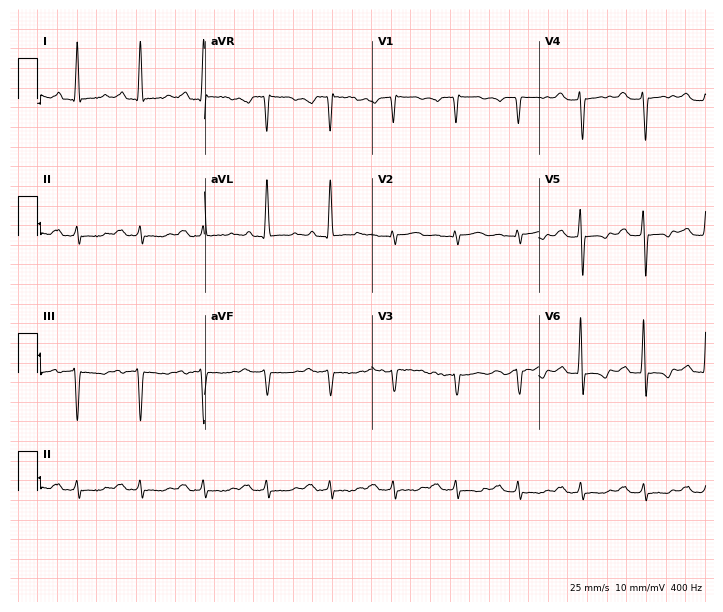
Electrocardiogram, a male, 78 years old. Interpretation includes first-degree AV block.